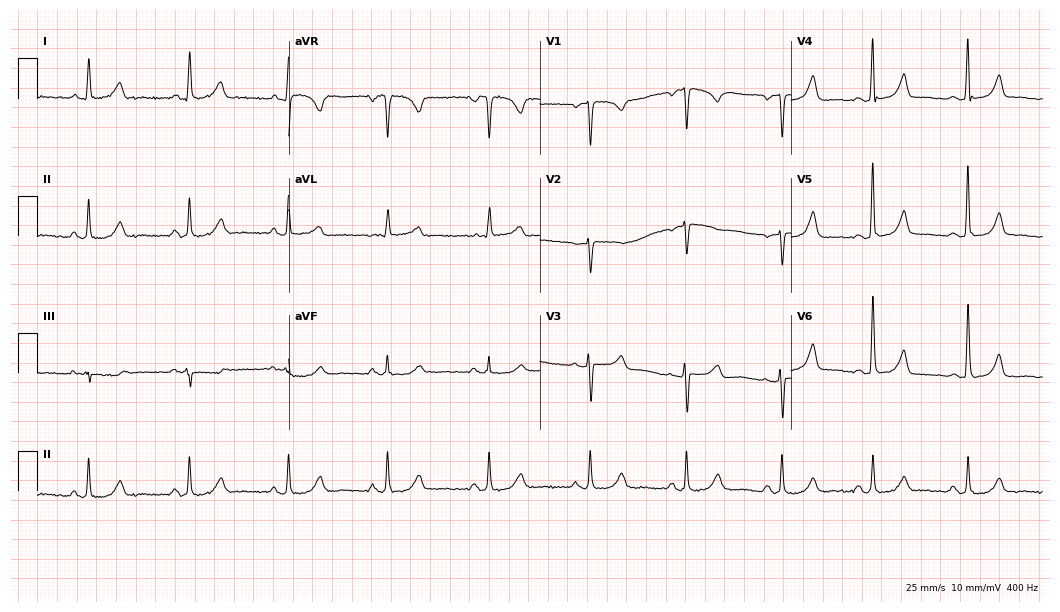
ECG — a 61-year-old female patient. Screened for six findings — first-degree AV block, right bundle branch block, left bundle branch block, sinus bradycardia, atrial fibrillation, sinus tachycardia — none is recorded.